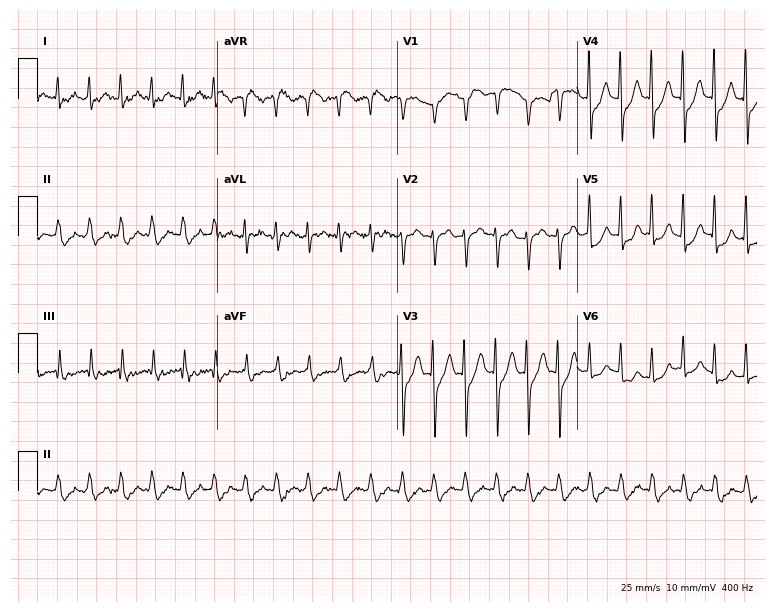
12-lead ECG from a man, 65 years old. Shows sinus tachycardia (a sinus rate of 100 beats per minute or more).